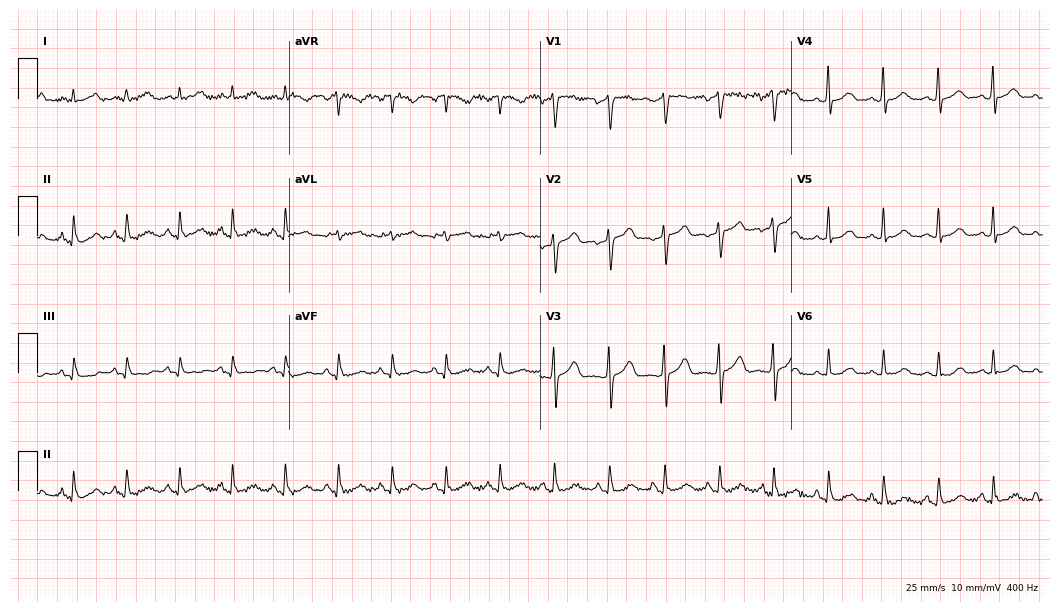
ECG — a female, 49 years old. Findings include sinus tachycardia (a sinus rate of 100 beats per minute or more).